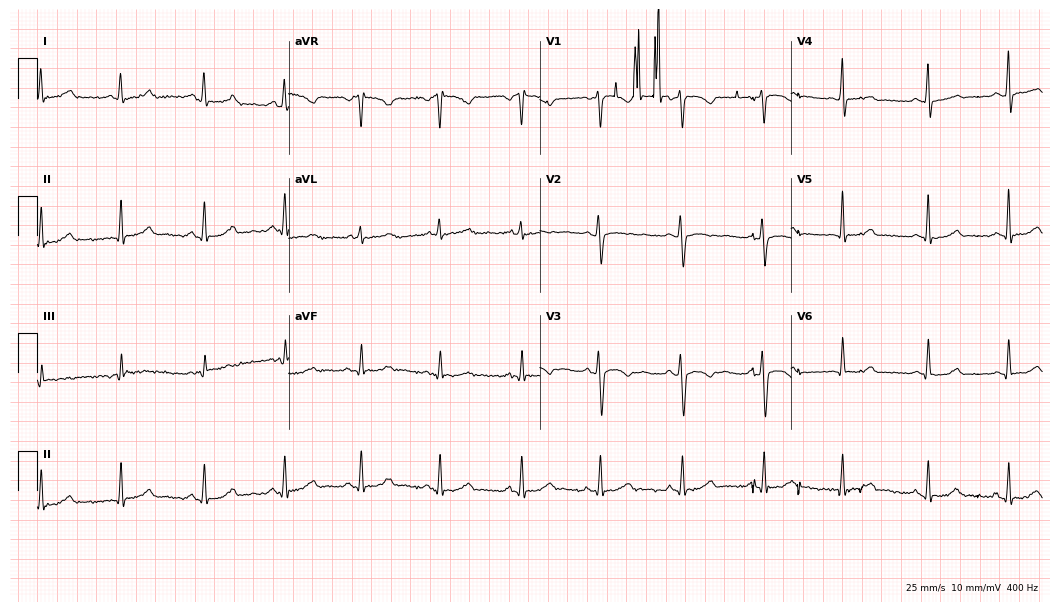
ECG — a woman, 22 years old. Screened for six findings — first-degree AV block, right bundle branch block, left bundle branch block, sinus bradycardia, atrial fibrillation, sinus tachycardia — none is recorded. Other findings, if any, are not listed.